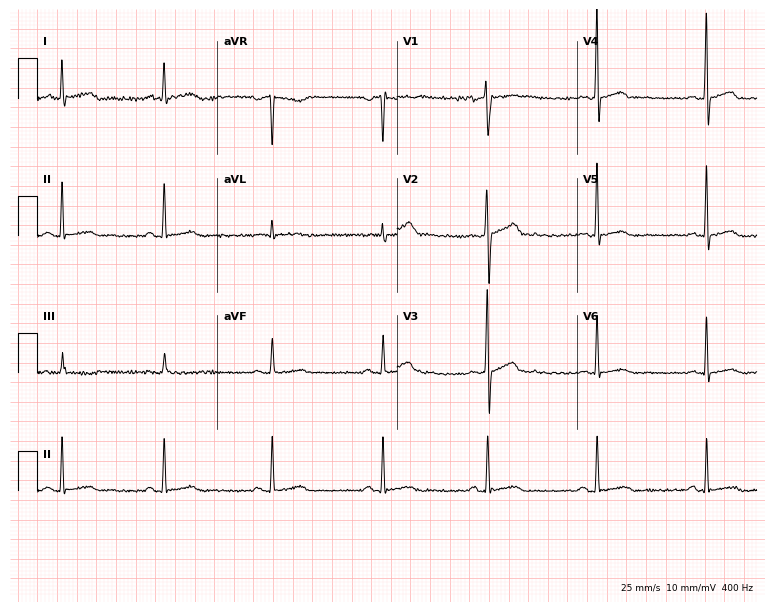
12-lead ECG from a 40-year-old female. Recorded interpretation: within normal limits.